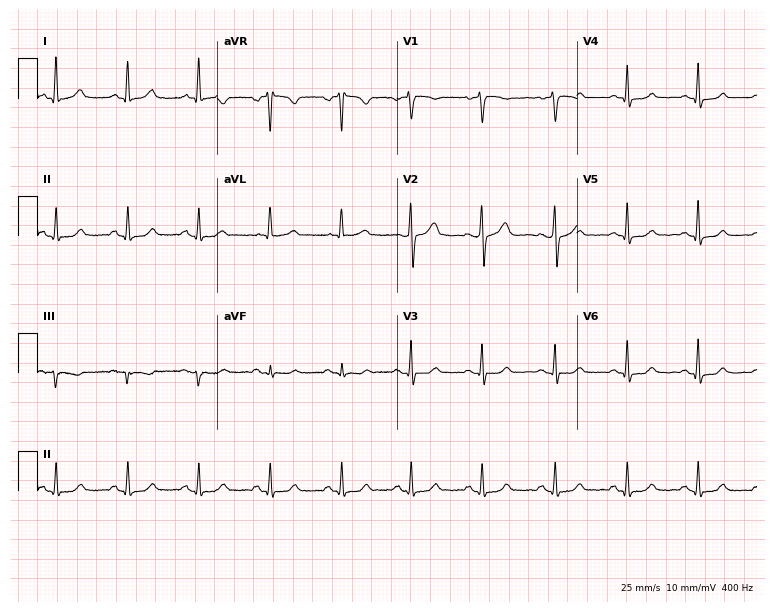
Resting 12-lead electrocardiogram. Patient: a 57-year-old female. Read as a normal ECG.